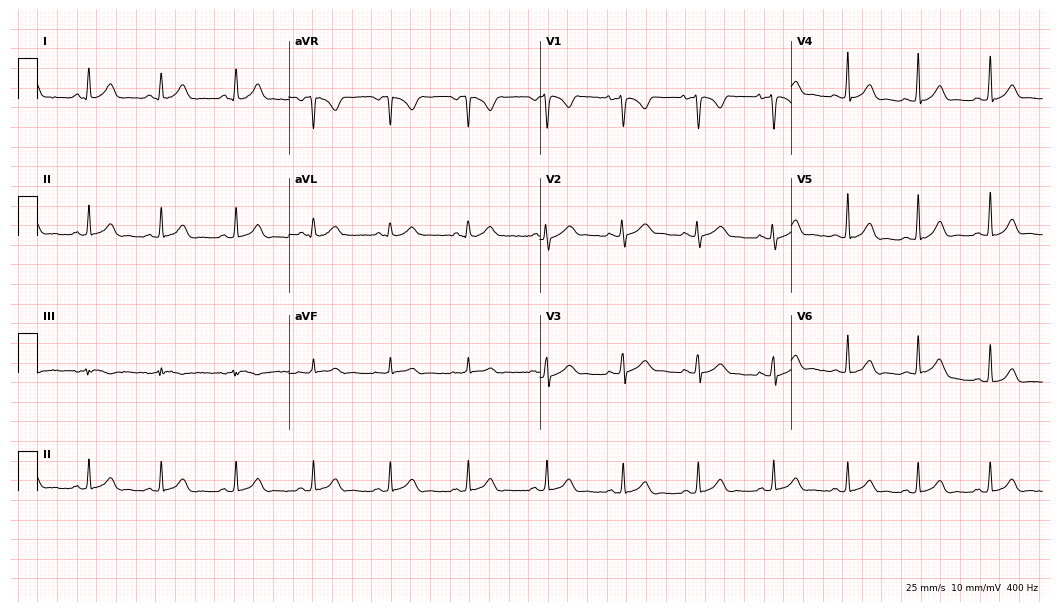
12-lead ECG from a 32-year-old female (10.2-second recording at 400 Hz). Recorded interpretation: within normal limits.